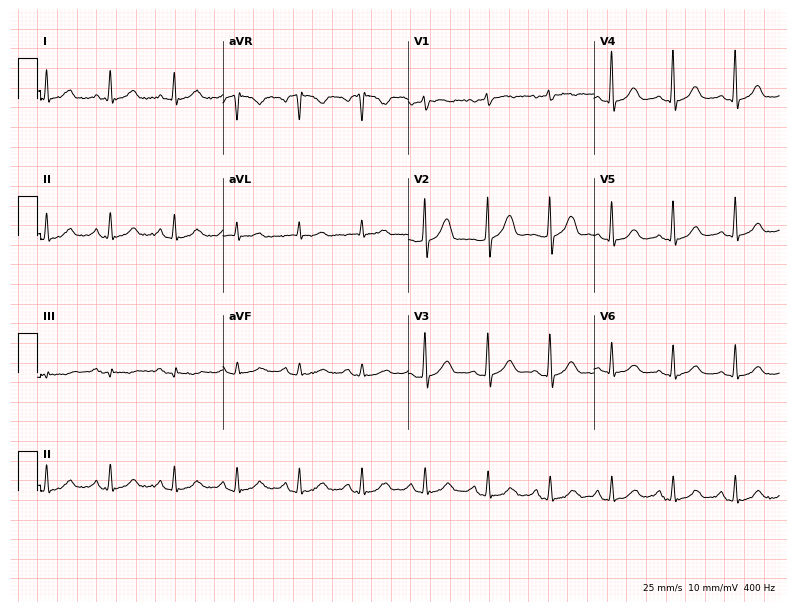
Standard 12-lead ECG recorded from a 63-year-old female patient (7.6-second recording at 400 Hz). Read as a normal ECG.